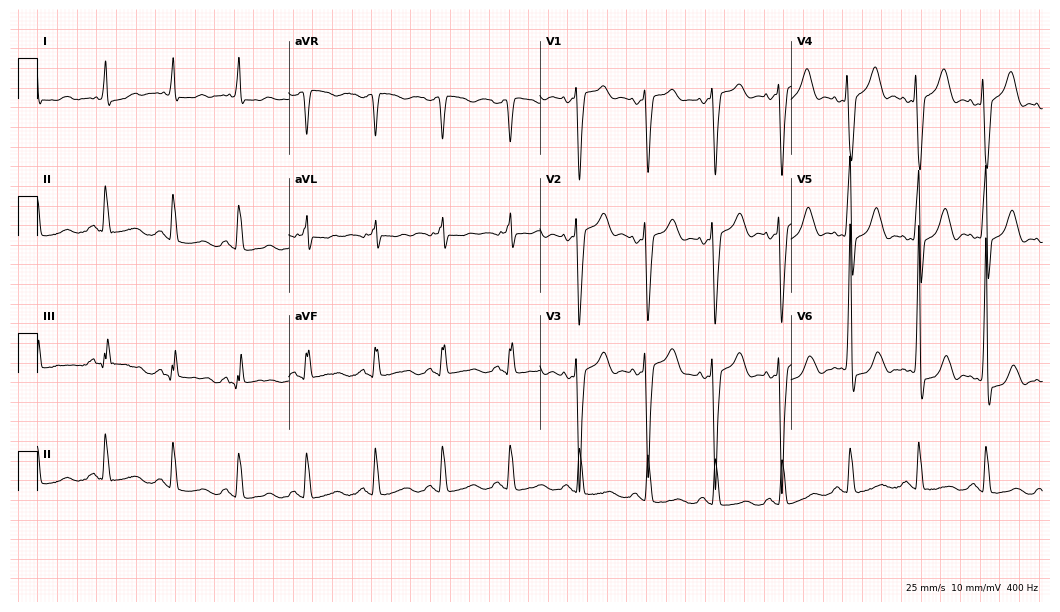
12-lead ECG (10.2-second recording at 400 Hz) from a 70-year-old female. Screened for six findings — first-degree AV block, right bundle branch block, left bundle branch block, sinus bradycardia, atrial fibrillation, sinus tachycardia — none is recorded. Other findings, if any, are not listed.